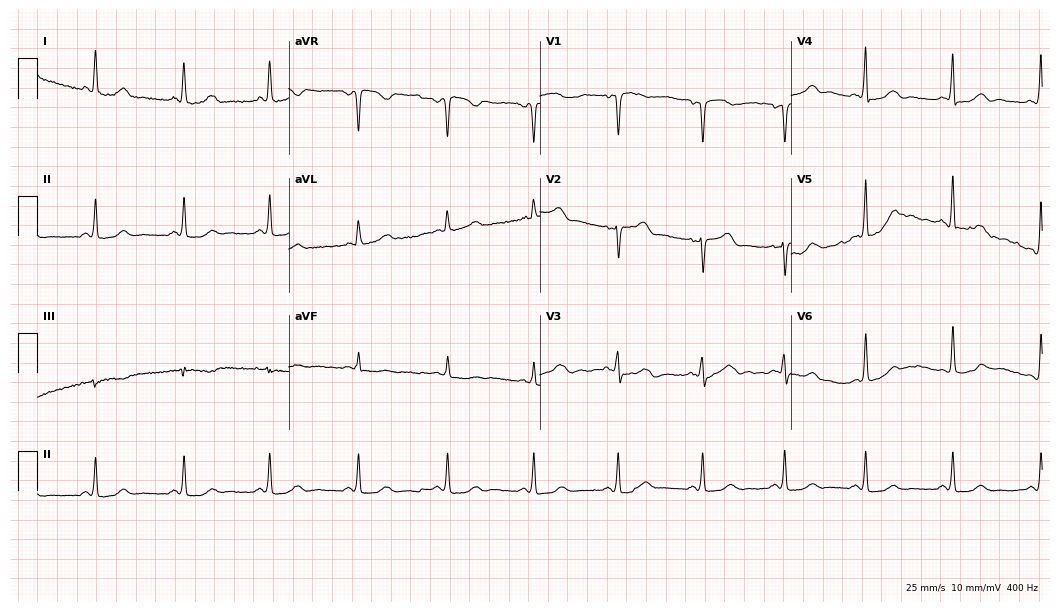
Electrocardiogram (10.2-second recording at 400 Hz), a 66-year-old woman. Of the six screened findings (first-degree AV block, right bundle branch block, left bundle branch block, sinus bradycardia, atrial fibrillation, sinus tachycardia), none is recorded. Only these six findings were labelled.